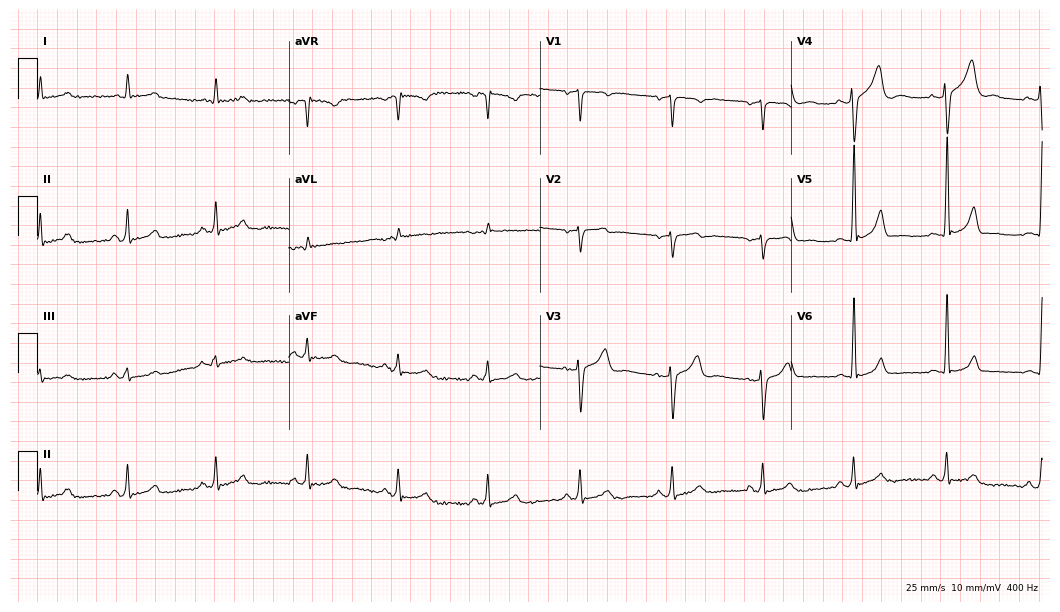
Electrocardiogram (10.2-second recording at 400 Hz), a 42-year-old man. Of the six screened findings (first-degree AV block, right bundle branch block, left bundle branch block, sinus bradycardia, atrial fibrillation, sinus tachycardia), none is recorded. Other findings, if any, are not listed.